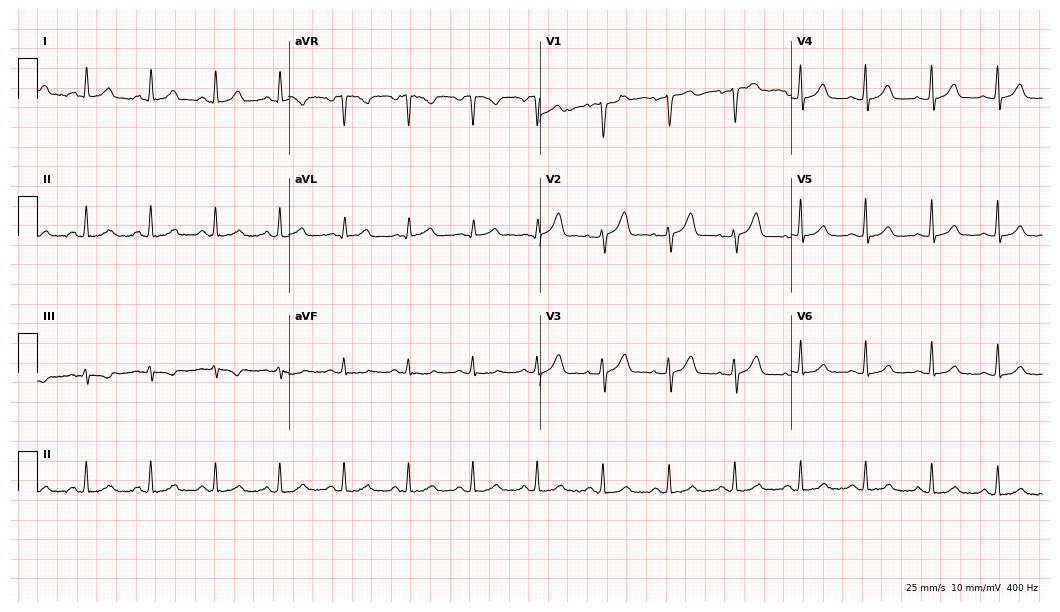
Resting 12-lead electrocardiogram. Patient: a female, 48 years old. Read as a normal ECG.